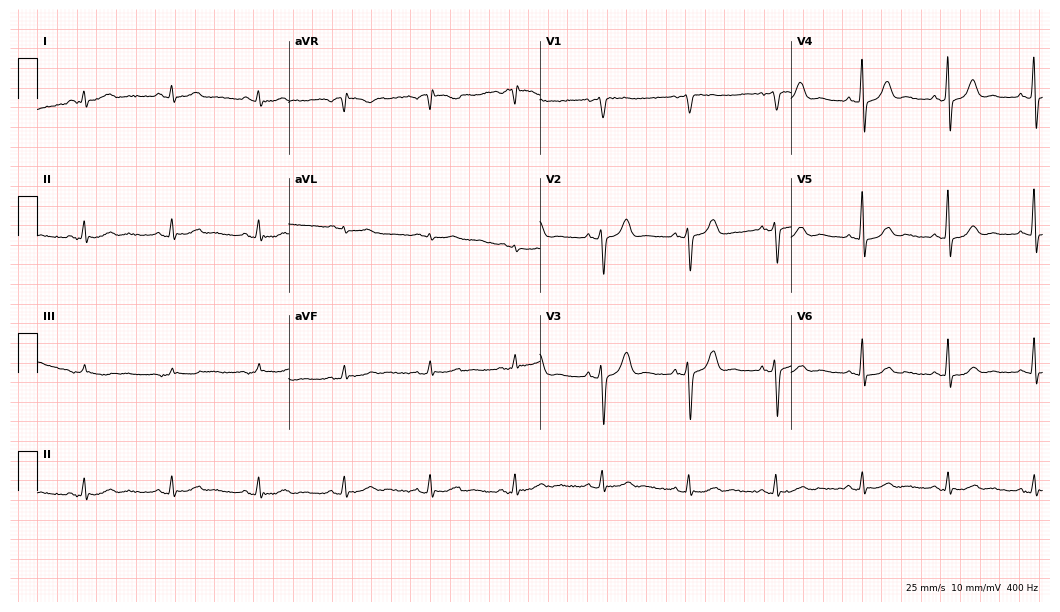
Resting 12-lead electrocardiogram. Patient: a 57-year-old man. None of these six findings is recorded: first-degree AV block, right bundle branch block, left bundle branch block, sinus bradycardia, atrial fibrillation, sinus tachycardia.